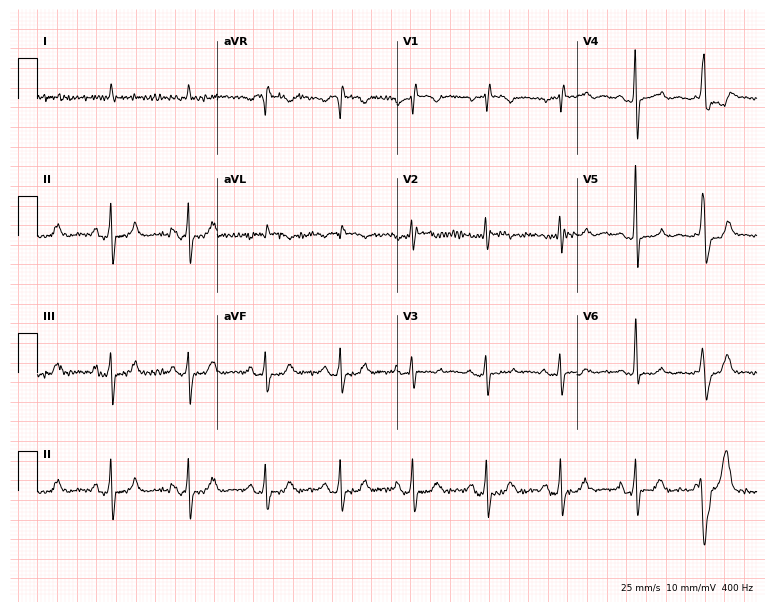
12-lead ECG from a 78-year-old male patient. No first-degree AV block, right bundle branch block (RBBB), left bundle branch block (LBBB), sinus bradycardia, atrial fibrillation (AF) or sinus tachycardia recorded for this tracing. Findings outside these six are not listed.